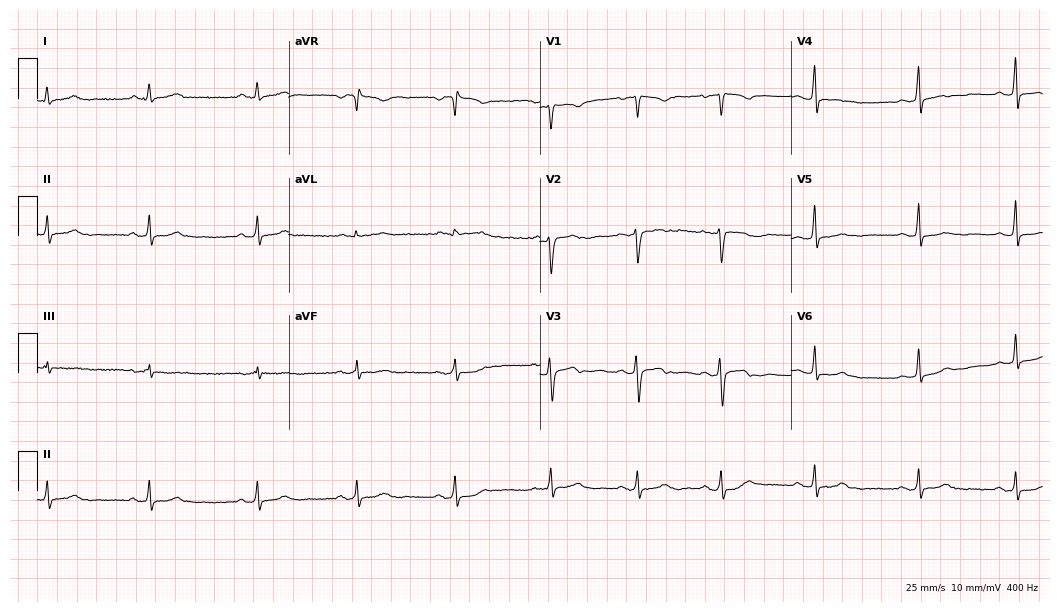
12-lead ECG from a 39-year-old female patient. Screened for six findings — first-degree AV block, right bundle branch block (RBBB), left bundle branch block (LBBB), sinus bradycardia, atrial fibrillation (AF), sinus tachycardia — none is recorded. Only these six findings were labelled.